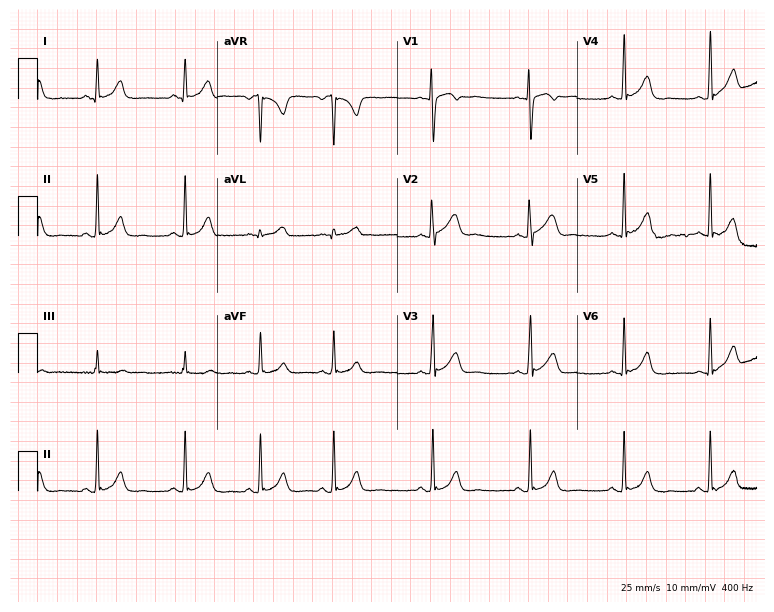
Electrocardiogram, a female patient, 20 years old. Overall reading on record: normal ECG.